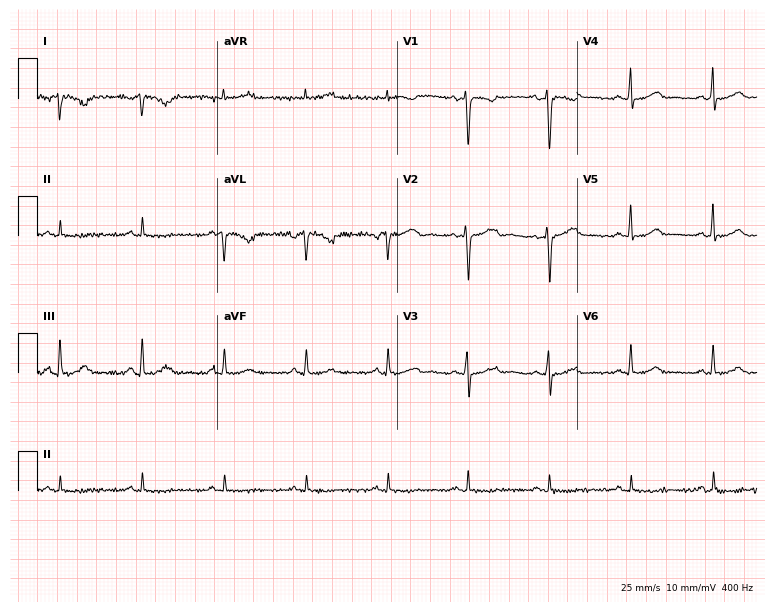
12-lead ECG (7.3-second recording at 400 Hz) from a female, 40 years old. Screened for six findings — first-degree AV block, right bundle branch block, left bundle branch block, sinus bradycardia, atrial fibrillation, sinus tachycardia — none is recorded.